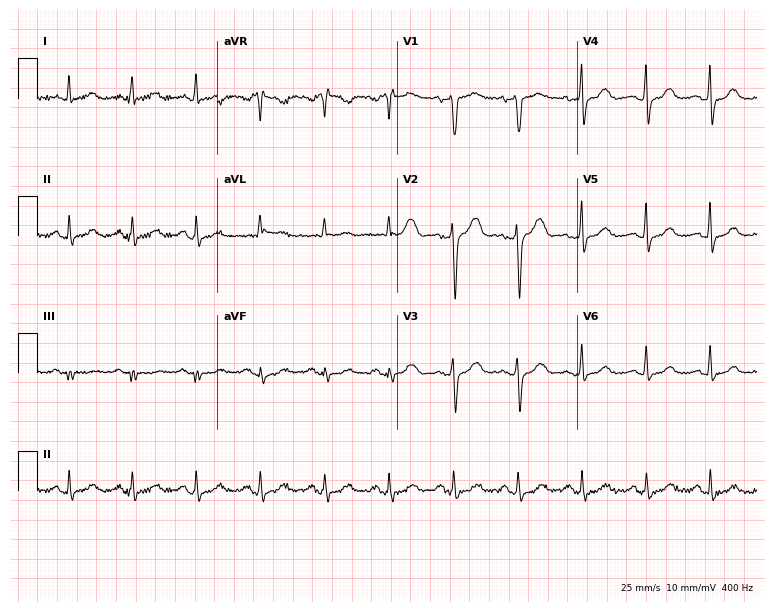
Electrocardiogram (7.3-second recording at 400 Hz), a woman, 61 years old. Overall reading on record: normal ECG.